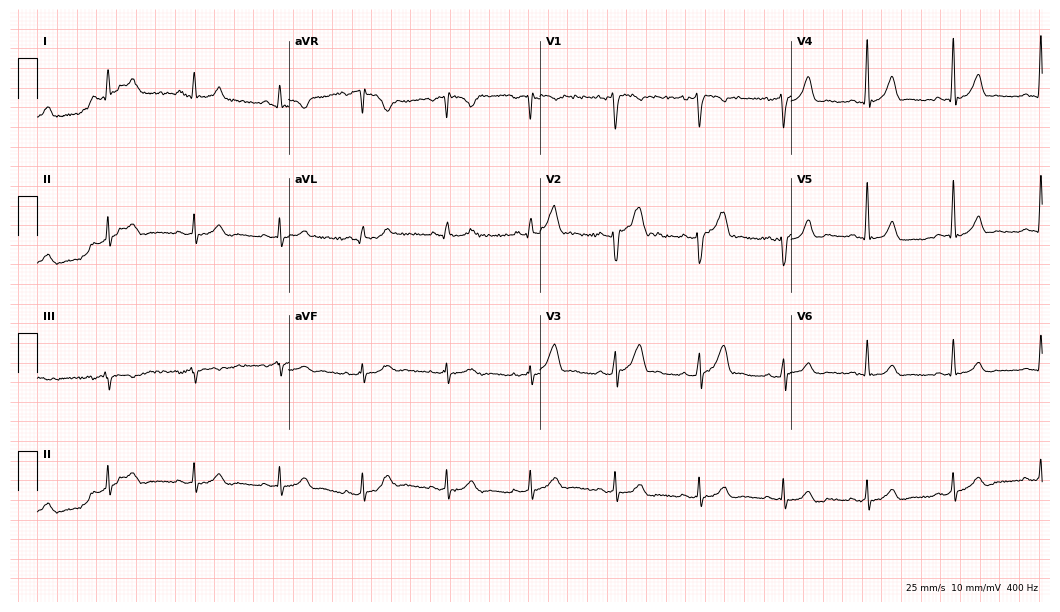
Standard 12-lead ECG recorded from a 37-year-old man. Read as a normal ECG.